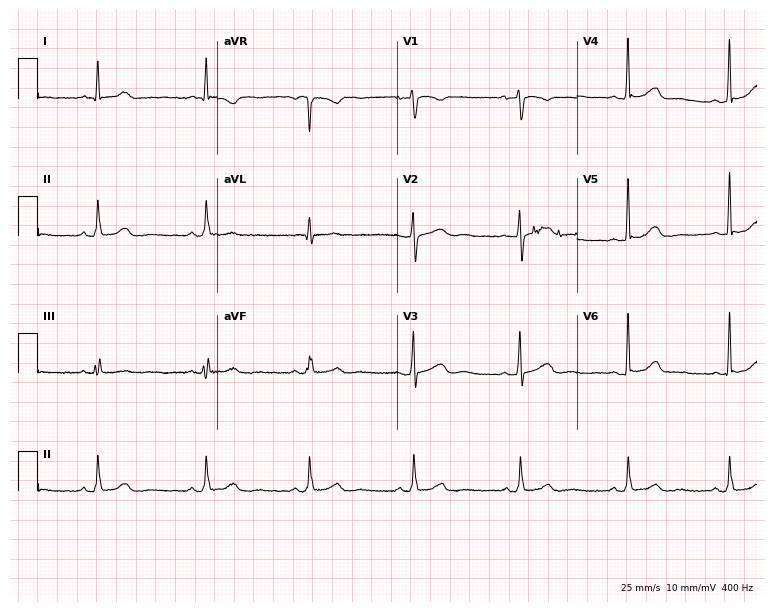
12-lead ECG from a woman, 43 years old. Labelled as a normal ECG.